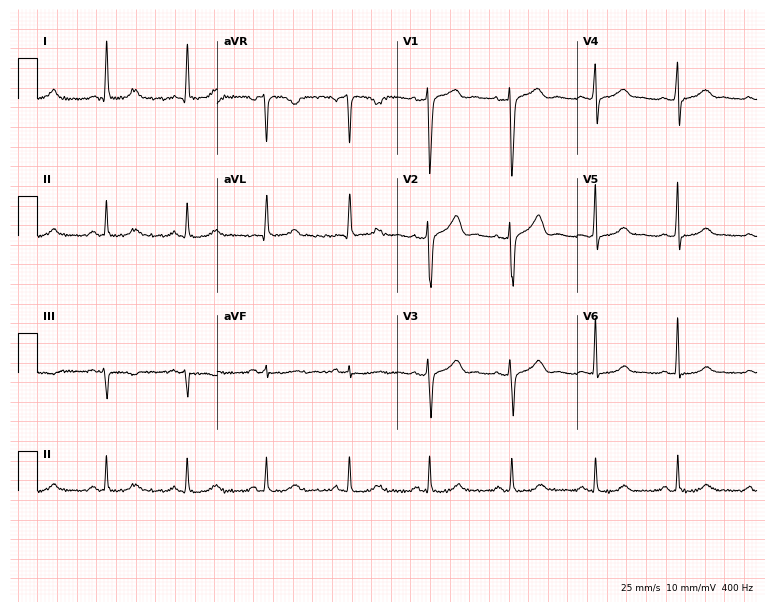
12-lead ECG from a 41-year-old female patient (7.3-second recording at 400 Hz). Recorded interpretation: within normal limits.